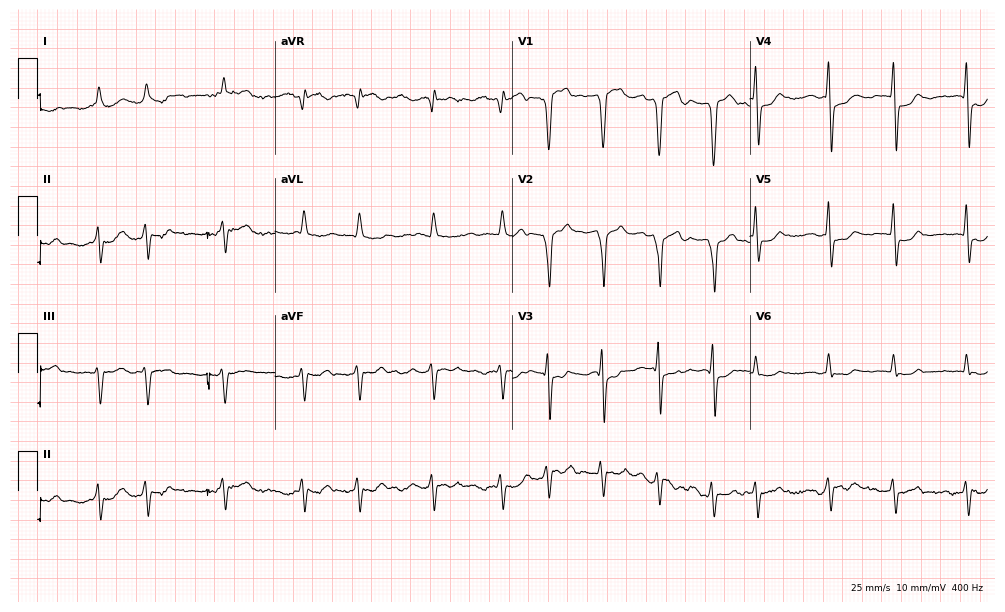
12-lead ECG from a male, 82 years old. Shows atrial fibrillation.